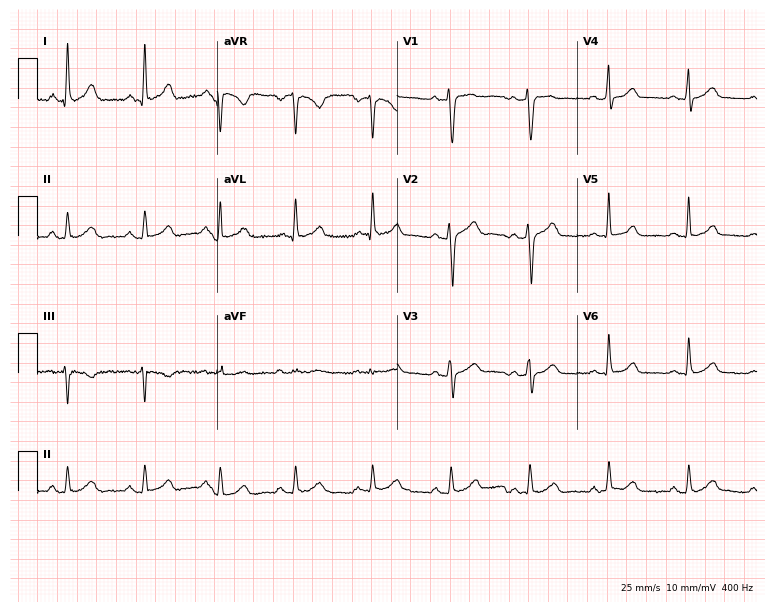
Standard 12-lead ECG recorded from a 32-year-old man (7.3-second recording at 400 Hz). None of these six findings is recorded: first-degree AV block, right bundle branch block (RBBB), left bundle branch block (LBBB), sinus bradycardia, atrial fibrillation (AF), sinus tachycardia.